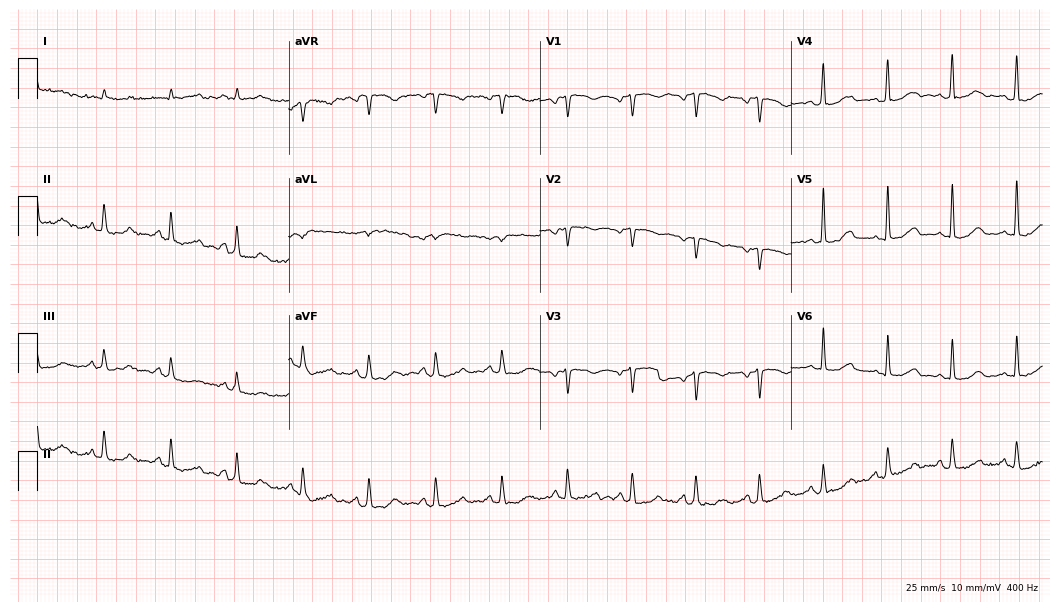
12-lead ECG (10.2-second recording at 400 Hz) from a 58-year-old female. Screened for six findings — first-degree AV block, right bundle branch block, left bundle branch block, sinus bradycardia, atrial fibrillation, sinus tachycardia — none is recorded.